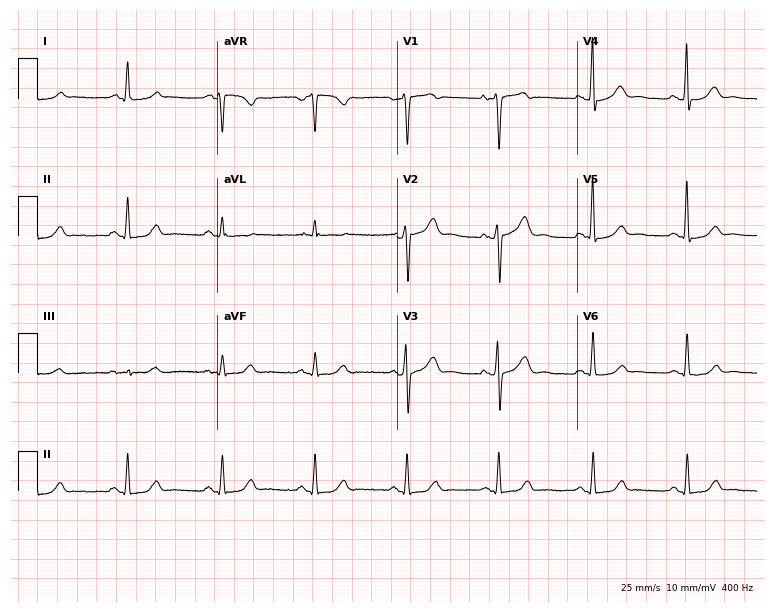
ECG (7.3-second recording at 400 Hz) — a 49-year-old woman. Labelled as a normal ECG.